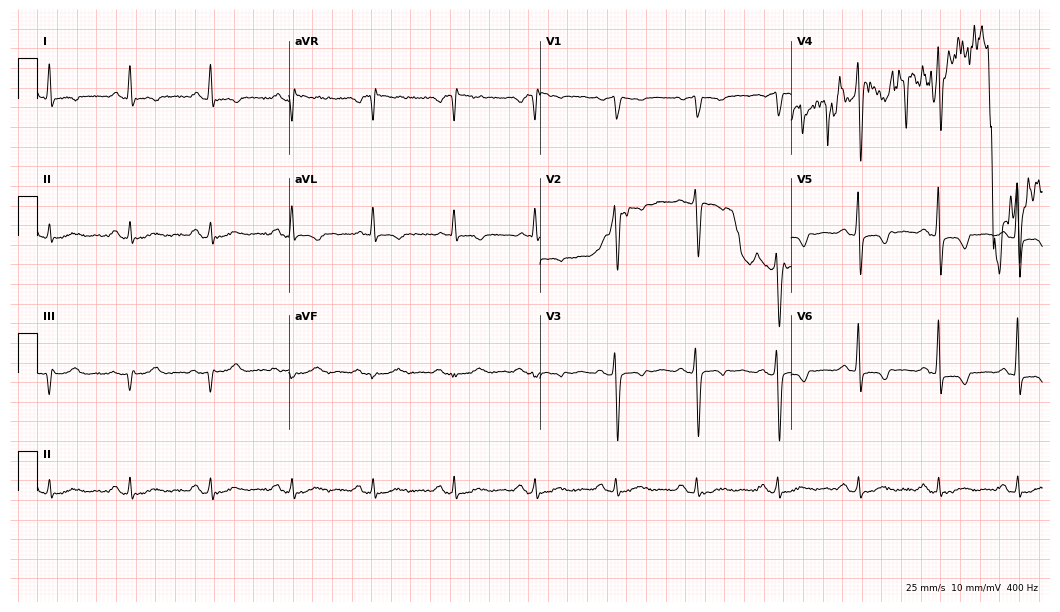
Electrocardiogram (10.2-second recording at 400 Hz), a 76-year-old male. Of the six screened findings (first-degree AV block, right bundle branch block, left bundle branch block, sinus bradycardia, atrial fibrillation, sinus tachycardia), none is recorded.